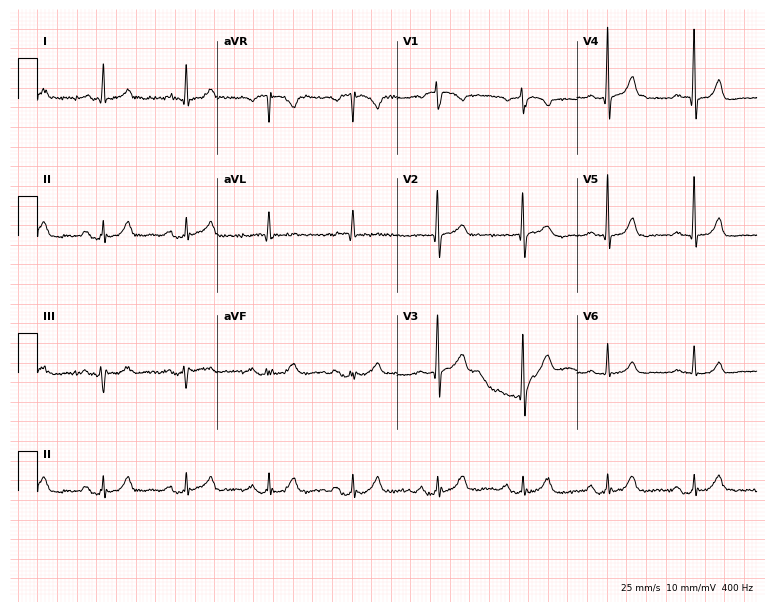
12-lead ECG from a male, 78 years old. Recorded interpretation: within normal limits.